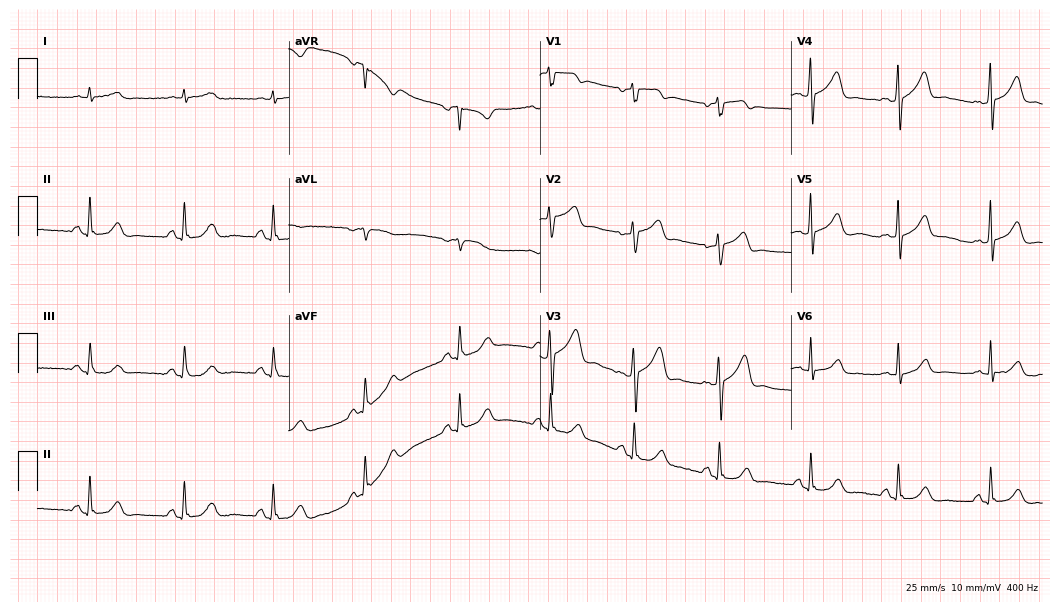
Electrocardiogram (10.2-second recording at 400 Hz), a 63-year-old male patient. Overall reading on record: normal ECG.